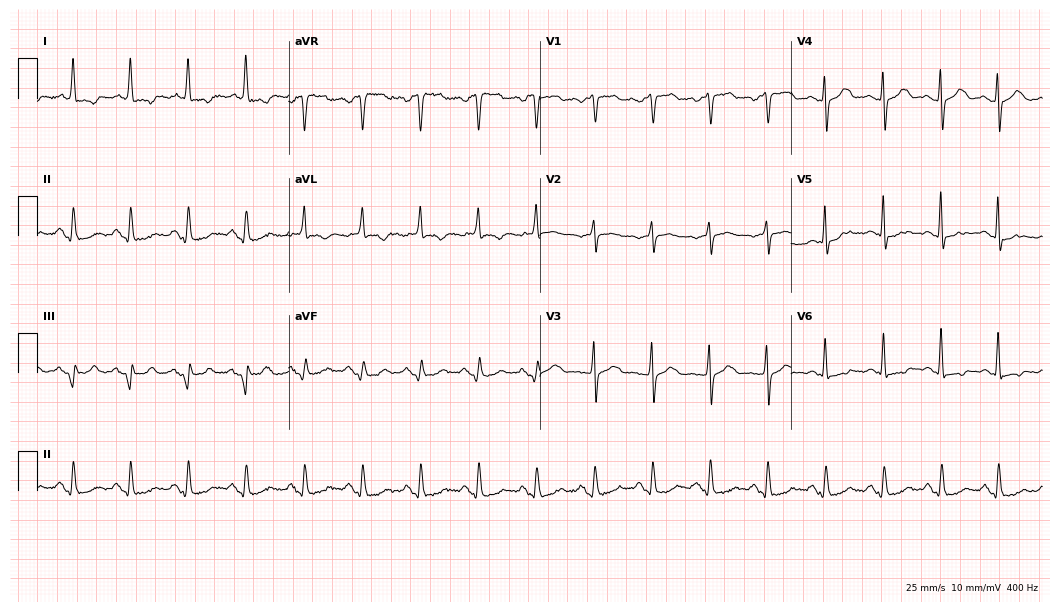
12-lead ECG from a 63-year-old female patient (10.2-second recording at 400 Hz). Shows sinus tachycardia (a sinus rate of 100 beats per minute or more).